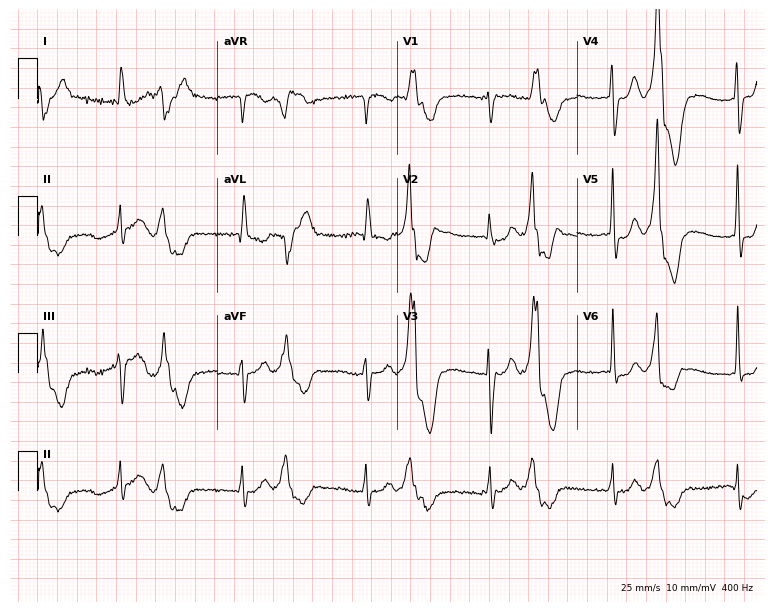
Electrocardiogram, a 73-year-old female. Interpretation includes atrial fibrillation.